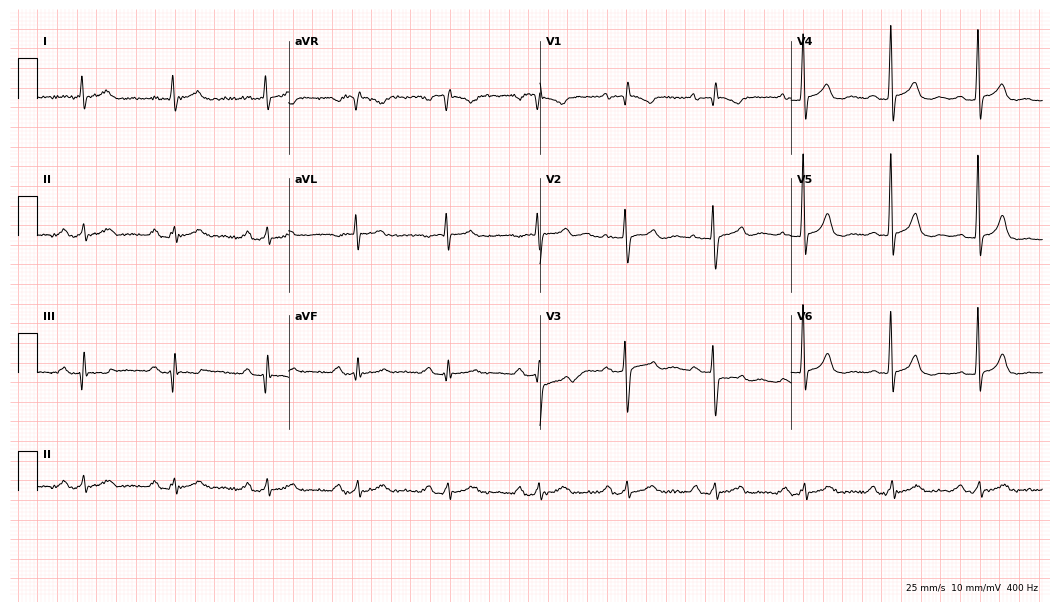
Standard 12-lead ECG recorded from a 44-year-old man (10.2-second recording at 400 Hz). None of these six findings is recorded: first-degree AV block, right bundle branch block, left bundle branch block, sinus bradycardia, atrial fibrillation, sinus tachycardia. Only these six findings were labelled.